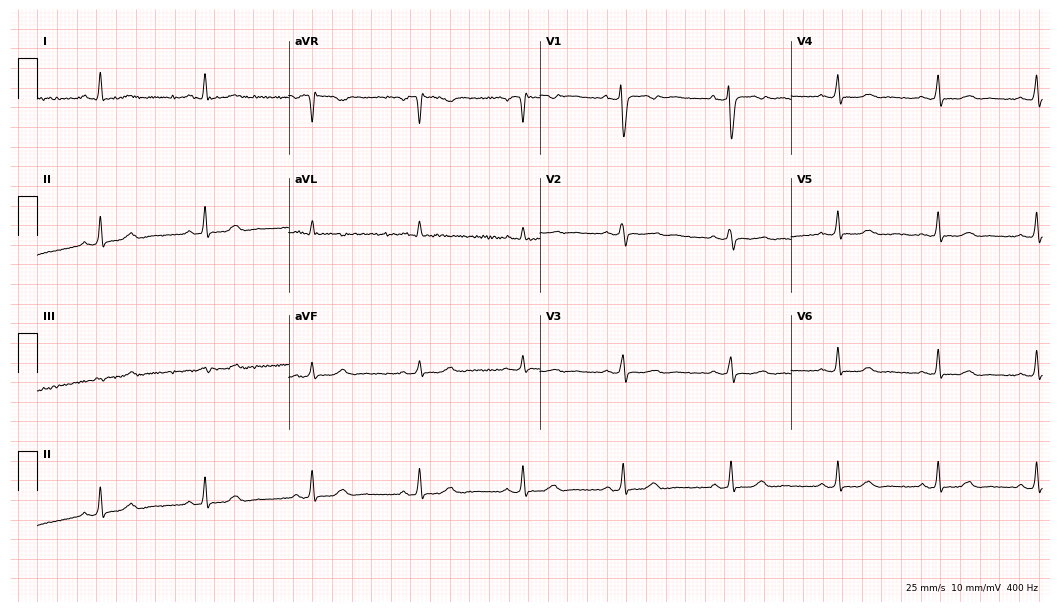
12-lead ECG from a 51-year-old female. Screened for six findings — first-degree AV block, right bundle branch block (RBBB), left bundle branch block (LBBB), sinus bradycardia, atrial fibrillation (AF), sinus tachycardia — none is recorded.